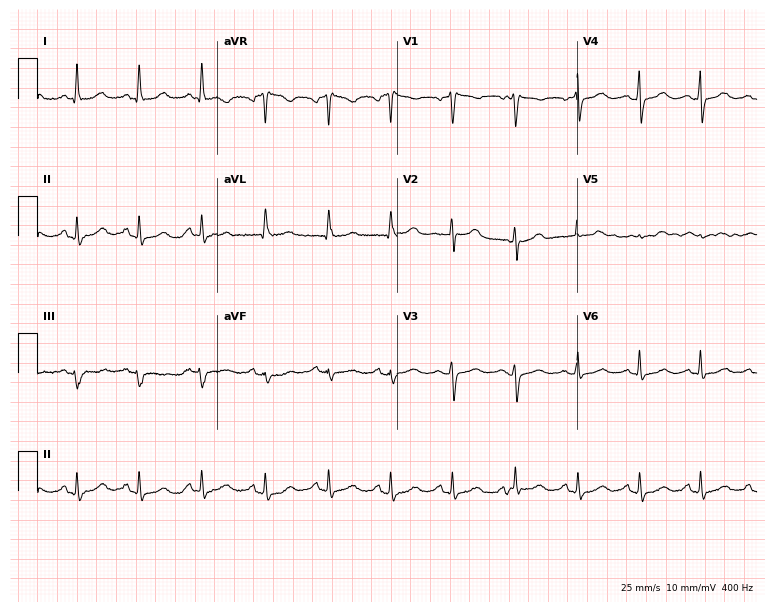
ECG — a female, 51 years old. Screened for six findings — first-degree AV block, right bundle branch block, left bundle branch block, sinus bradycardia, atrial fibrillation, sinus tachycardia — none is recorded. Findings outside these six are not listed.